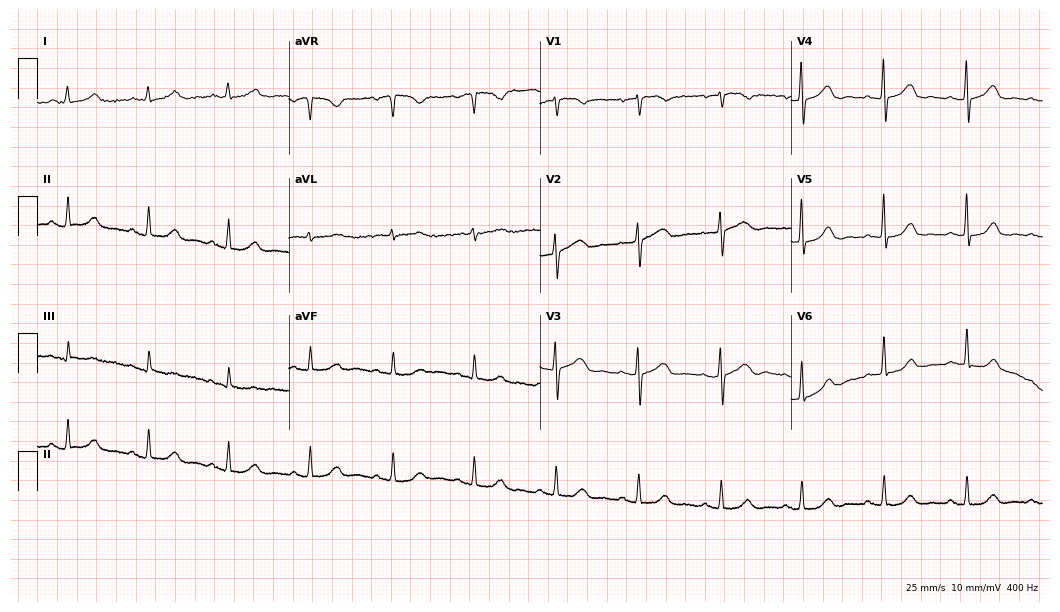
12-lead ECG from a female patient, 78 years old. Labelled as a normal ECG.